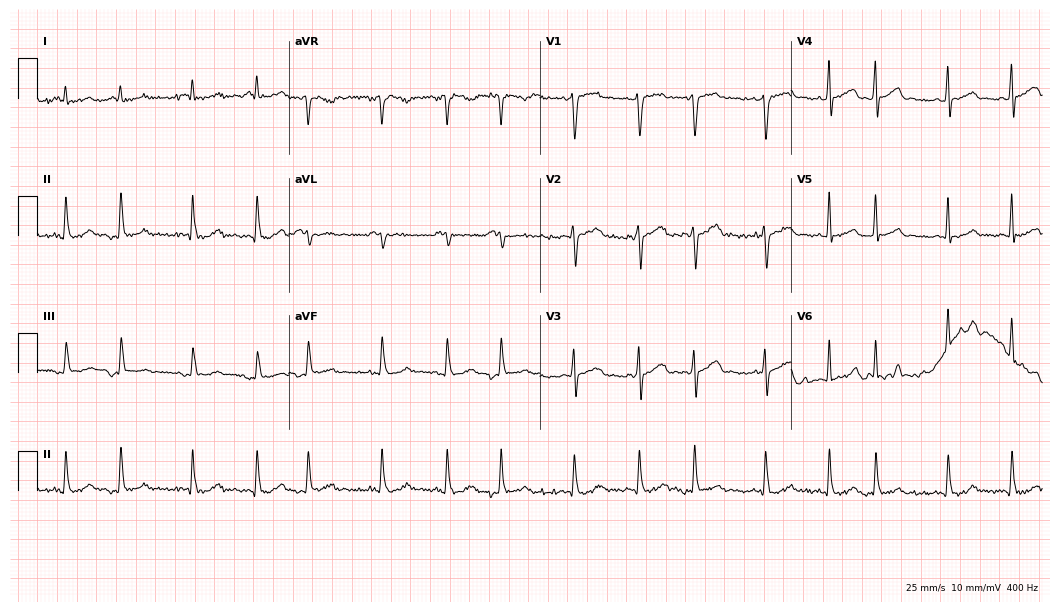
Standard 12-lead ECG recorded from a 45-year-old male. None of these six findings is recorded: first-degree AV block, right bundle branch block (RBBB), left bundle branch block (LBBB), sinus bradycardia, atrial fibrillation (AF), sinus tachycardia. Other findings, if any, are not listed.